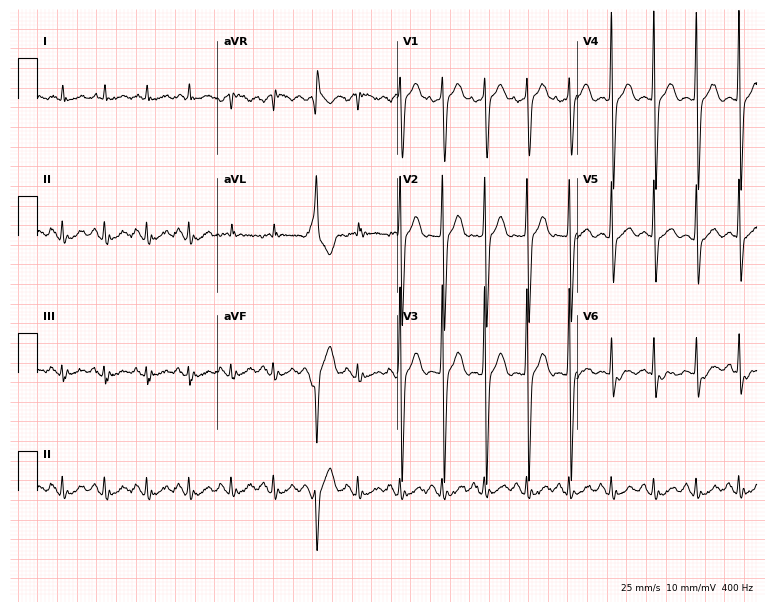
Standard 12-lead ECG recorded from a male, 78 years old (7.3-second recording at 400 Hz). The tracing shows sinus tachycardia (a sinus rate of 100 beats per minute or more).